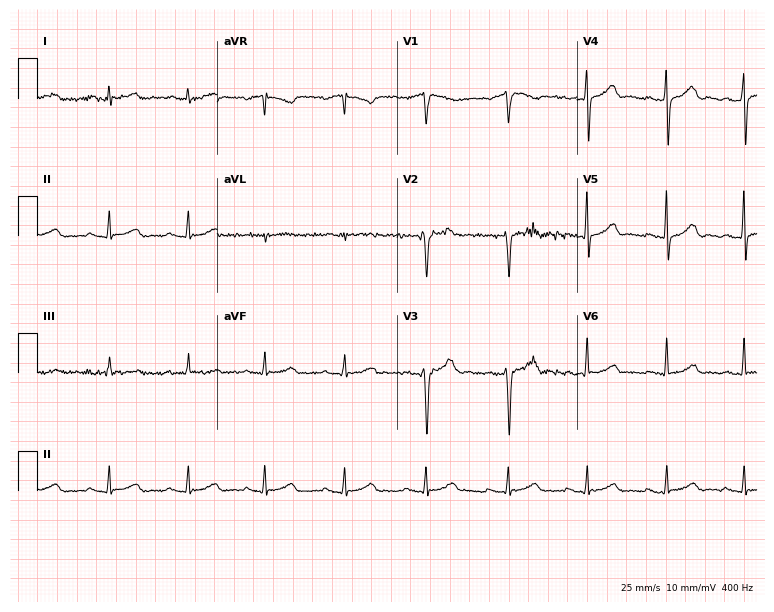
Resting 12-lead electrocardiogram. Patient: a 46-year-old male. Read as a normal ECG.